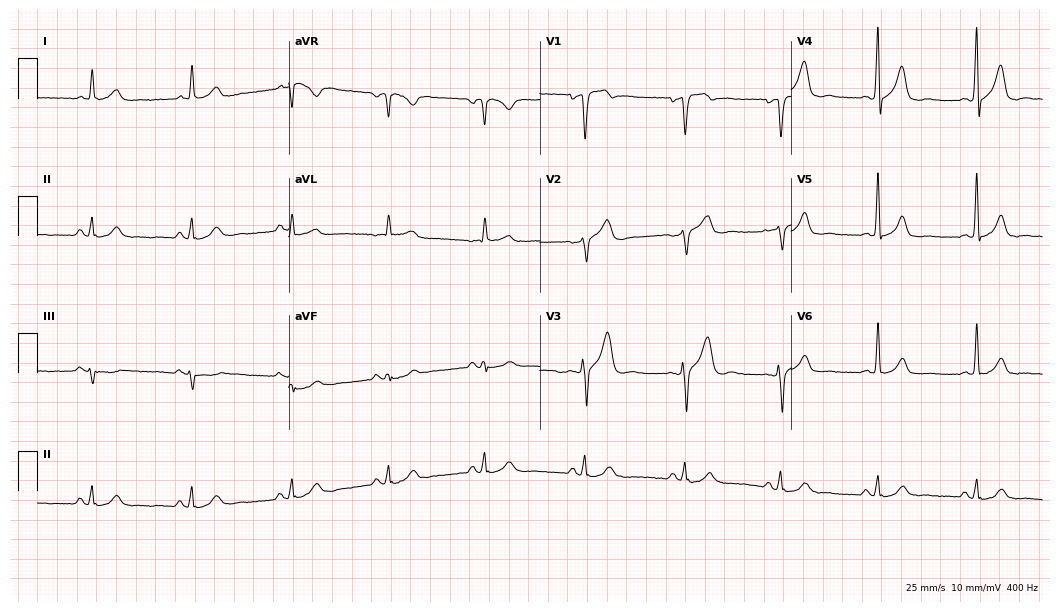
12-lead ECG (10.2-second recording at 400 Hz) from a 57-year-old man. Labelled as a normal ECG.